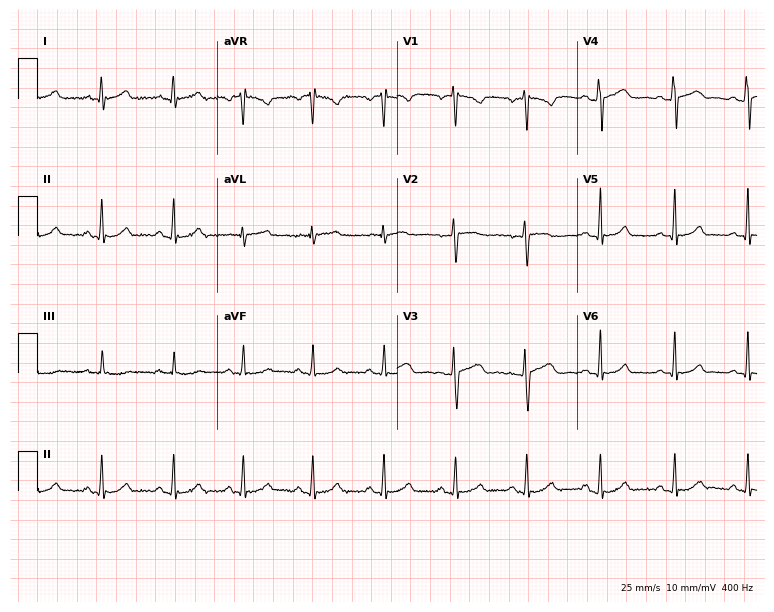
Standard 12-lead ECG recorded from a 22-year-old female patient. Read as a normal ECG.